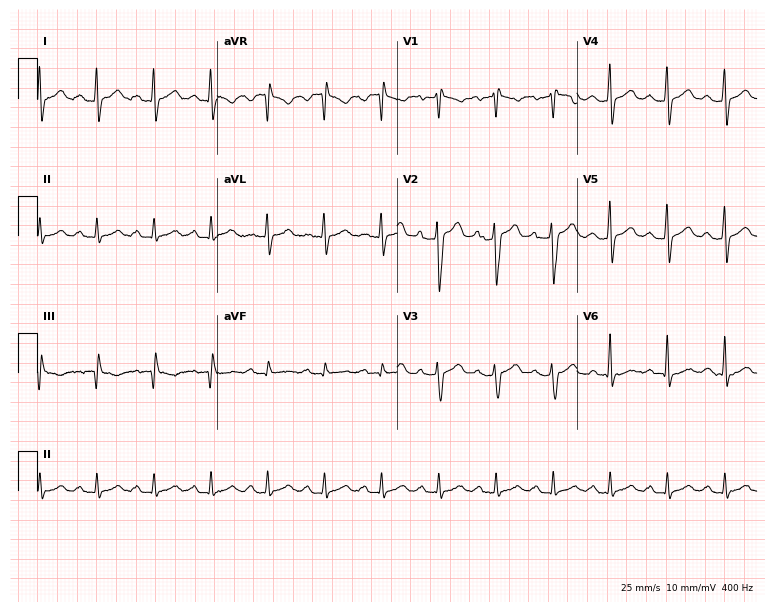
12-lead ECG (7.3-second recording at 400 Hz) from a 39-year-old man. Findings include sinus tachycardia (a sinus rate of 100 beats per minute or more).